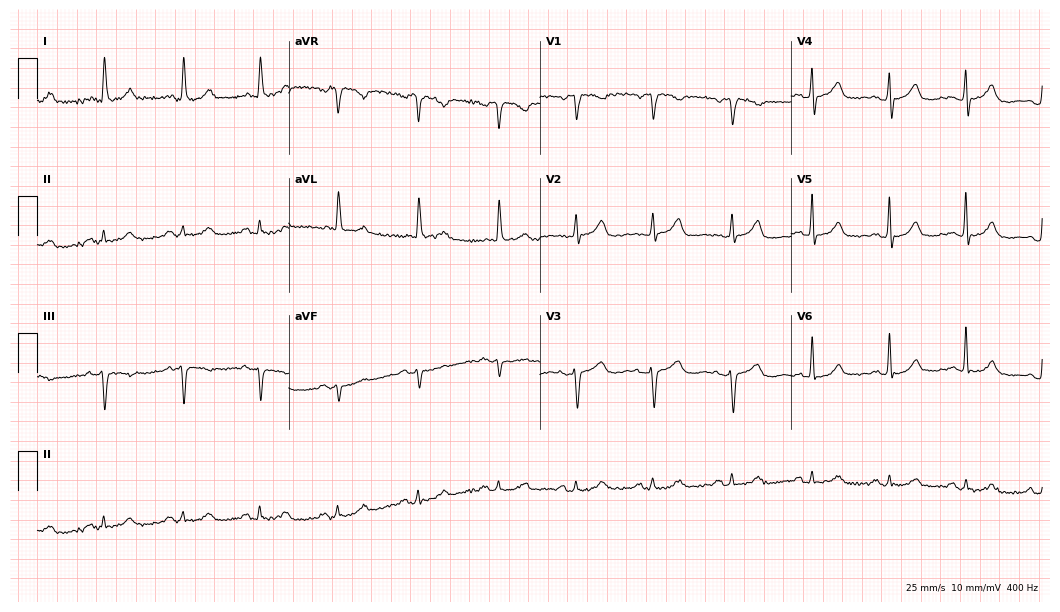
12-lead ECG (10.2-second recording at 400 Hz) from a female patient, 83 years old. Labelled as a normal ECG.